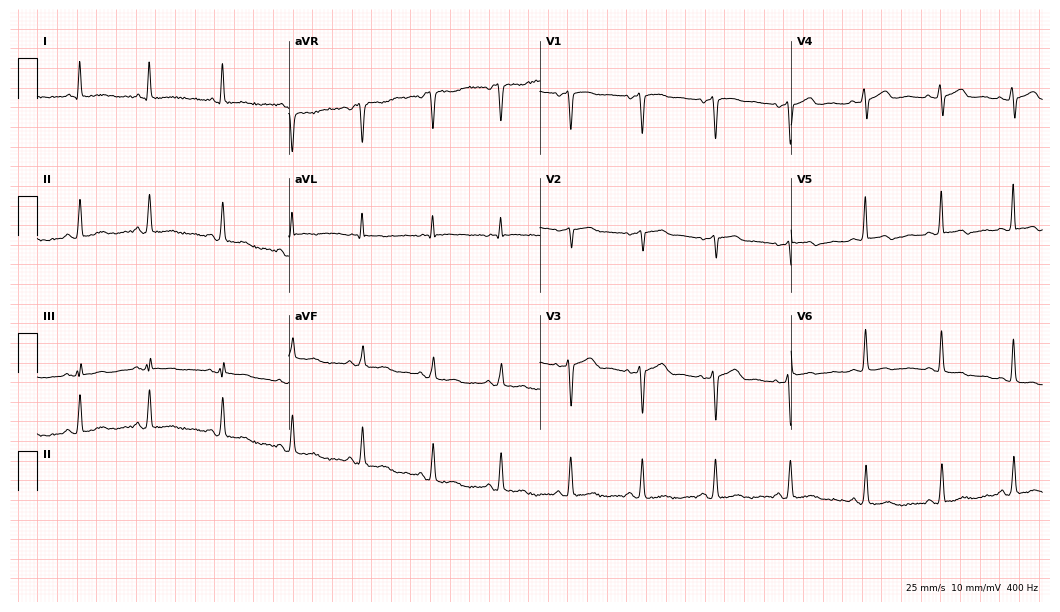
Resting 12-lead electrocardiogram (10.2-second recording at 400 Hz). Patient: a female, 54 years old. None of these six findings is recorded: first-degree AV block, right bundle branch block, left bundle branch block, sinus bradycardia, atrial fibrillation, sinus tachycardia. Only these six findings were labelled.